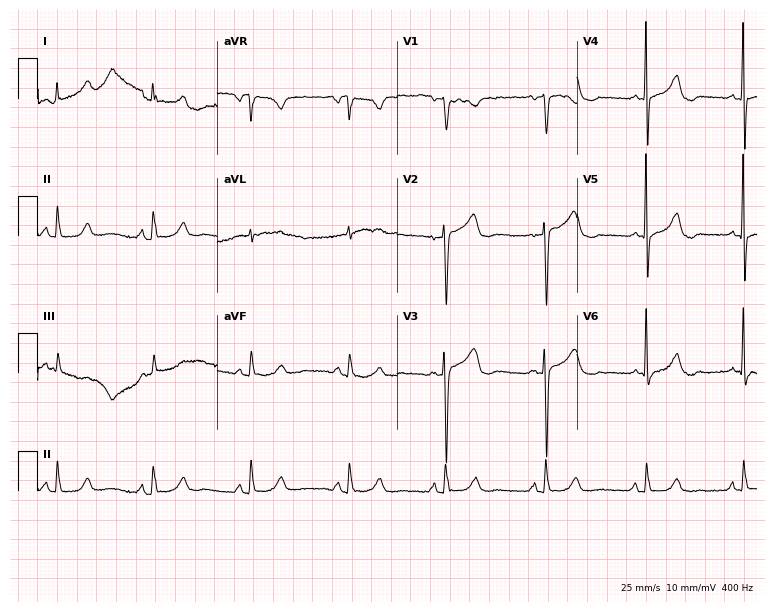
ECG — a woman, 41 years old. Screened for six findings — first-degree AV block, right bundle branch block, left bundle branch block, sinus bradycardia, atrial fibrillation, sinus tachycardia — none is recorded. Only these six findings were labelled.